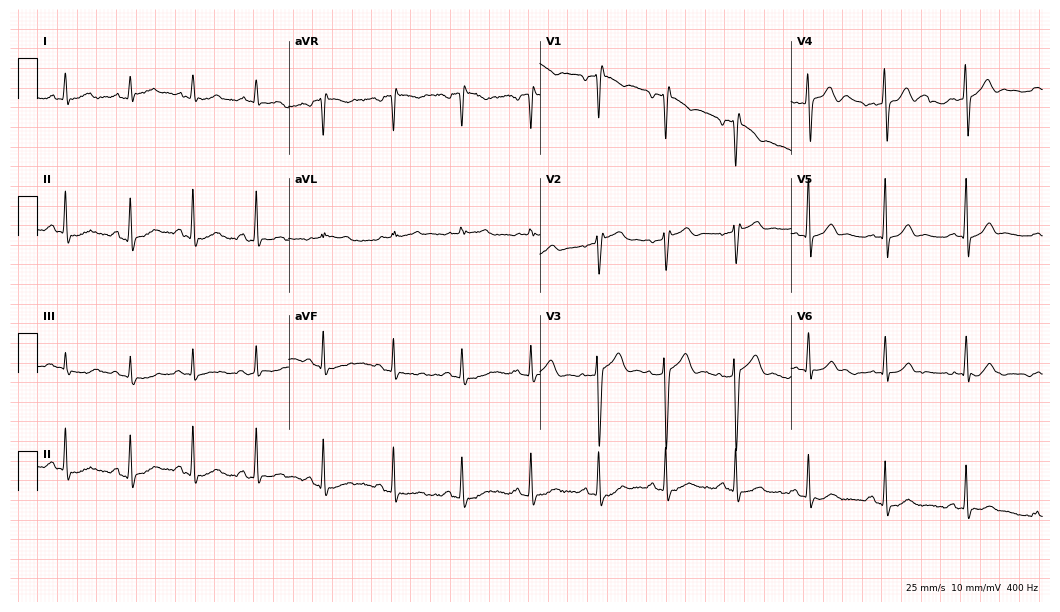
ECG (10.2-second recording at 400 Hz) — a male patient, 60 years old. Labelled as a normal ECG.